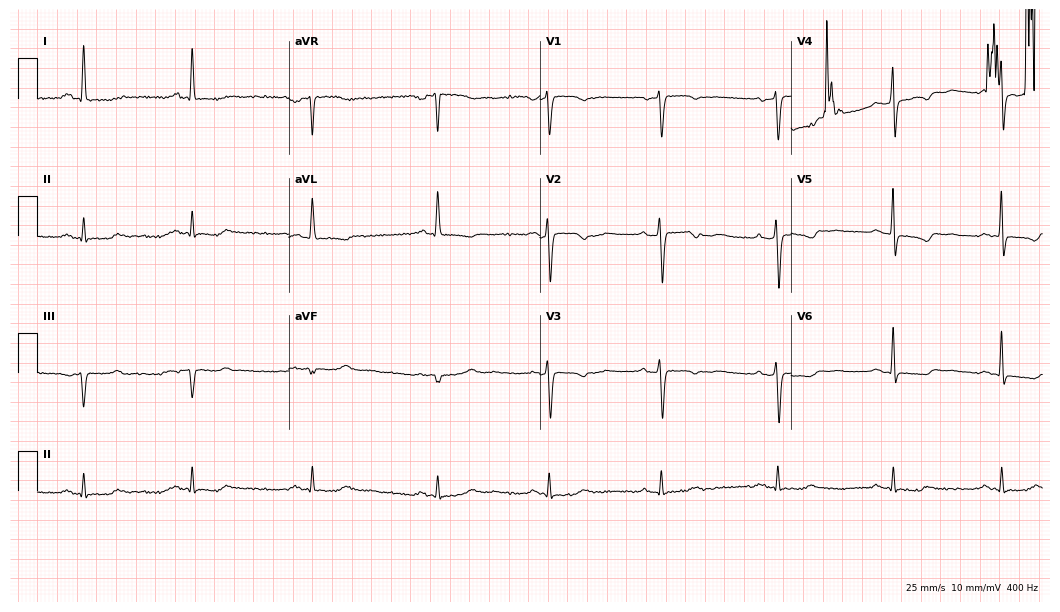
Electrocardiogram (10.2-second recording at 400 Hz), a 61-year-old female patient. Of the six screened findings (first-degree AV block, right bundle branch block (RBBB), left bundle branch block (LBBB), sinus bradycardia, atrial fibrillation (AF), sinus tachycardia), none is recorded.